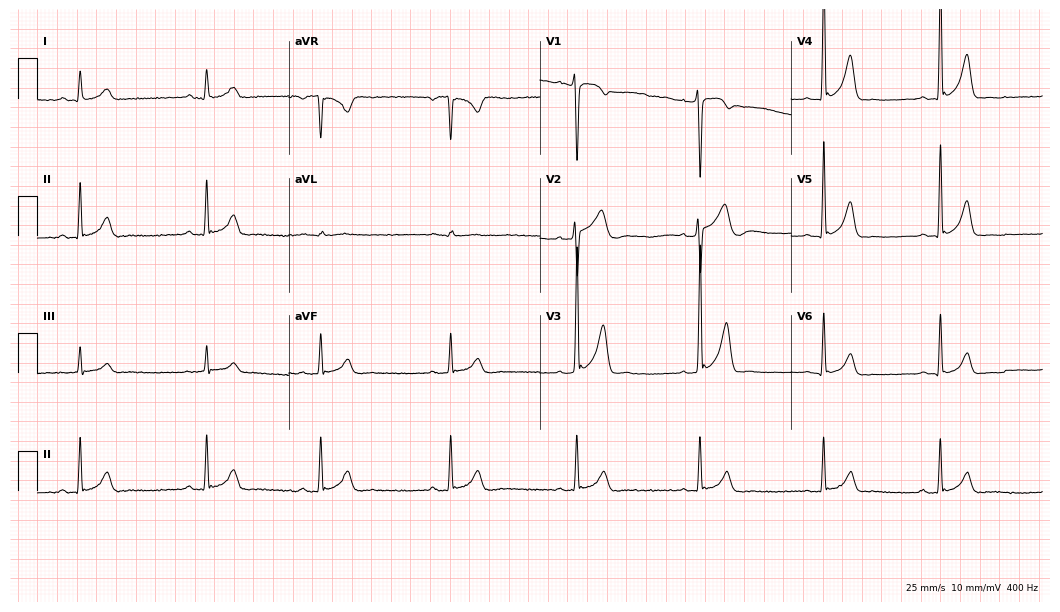
12-lead ECG from a 22-year-old male. Screened for six findings — first-degree AV block, right bundle branch block, left bundle branch block, sinus bradycardia, atrial fibrillation, sinus tachycardia — none is recorded.